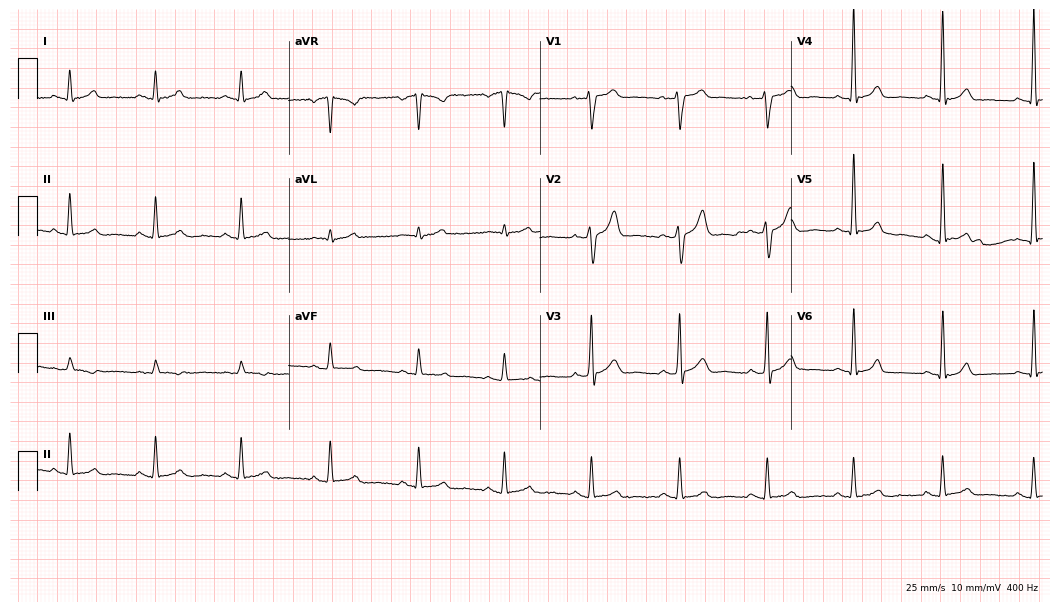
Electrocardiogram (10.2-second recording at 400 Hz), a 48-year-old man. Overall reading on record: normal ECG.